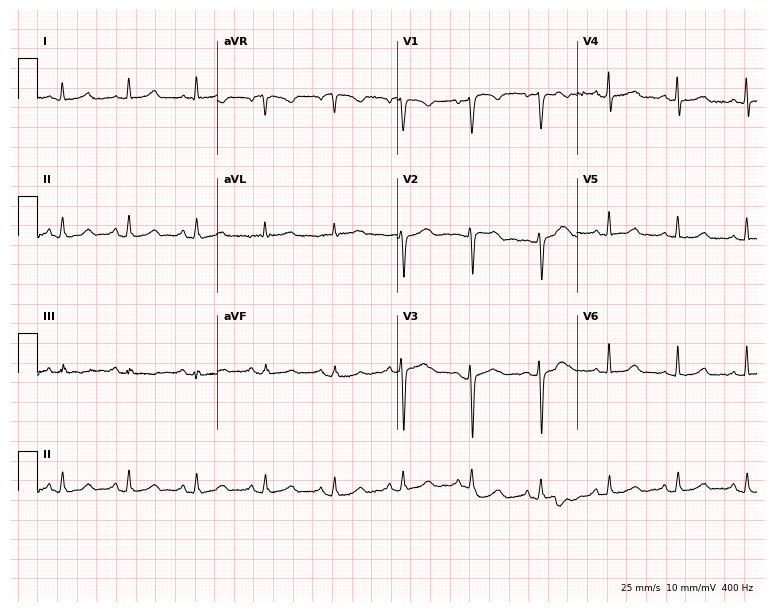
12-lead ECG from a woman, 55 years old. Labelled as a normal ECG.